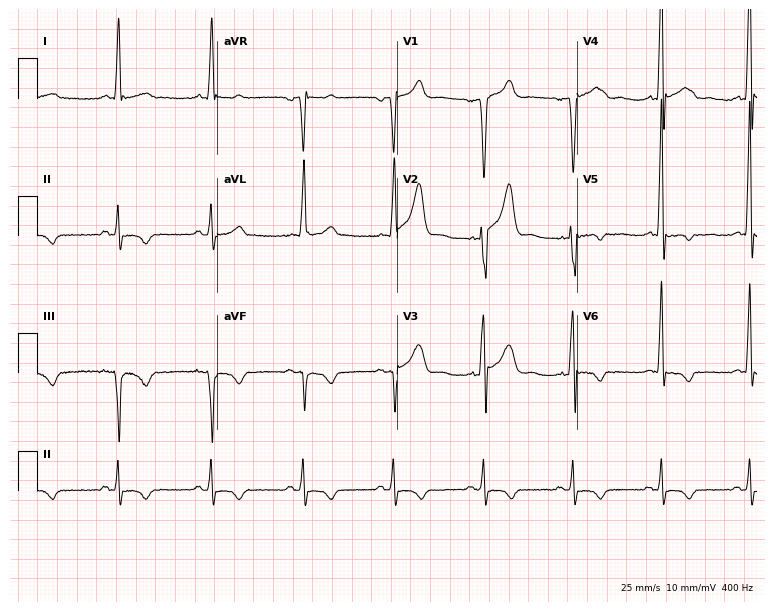
Standard 12-lead ECG recorded from a 55-year-old male. None of these six findings is recorded: first-degree AV block, right bundle branch block (RBBB), left bundle branch block (LBBB), sinus bradycardia, atrial fibrillation (AF), sinus tachycardia. Only these six findings were labelled.